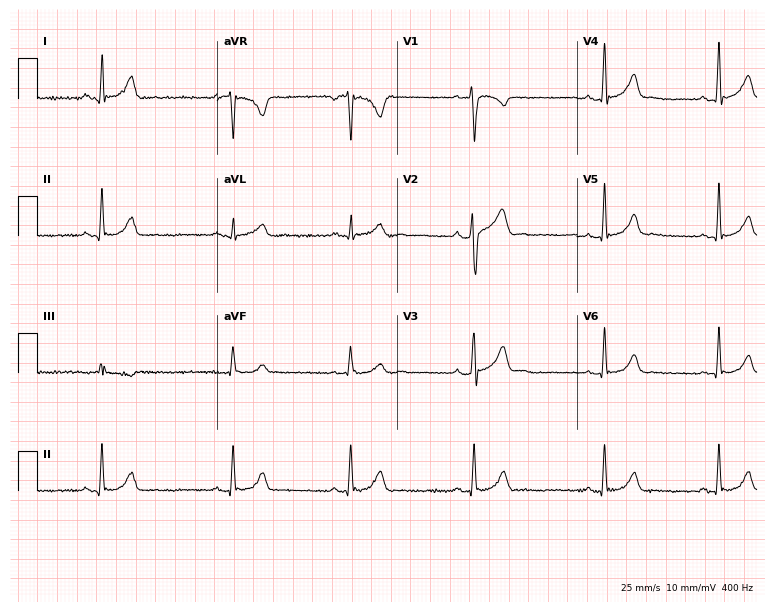
12-lead ECG from a 30-year-old male patient. Shows sinus bradycardia (a sinus rate of 50 beats per minute or less).